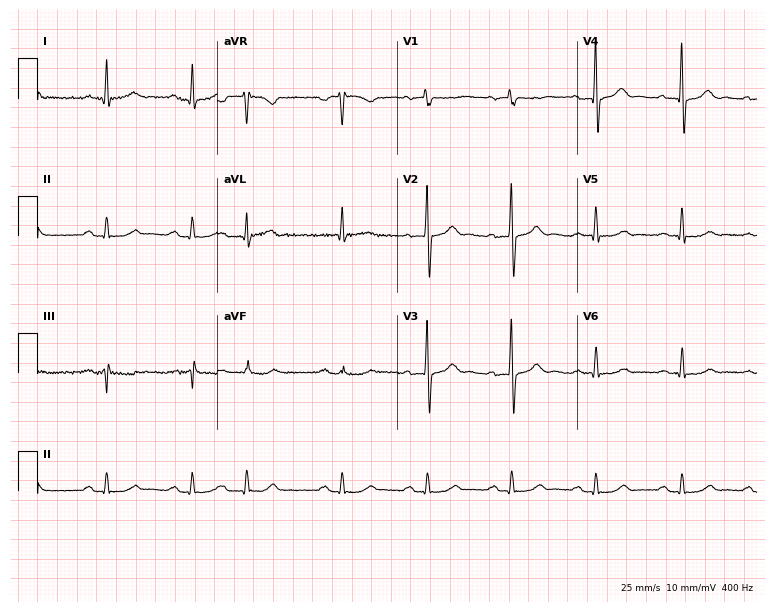
ECG — a male, 63 years old. Screened for six findings — first-degree AV block, right bundle branch block (RBBB), left bundle branch block (LBBB), sinus bradycardia, atrial fibrillation (AF), sinus tachycardia — none is recorded.